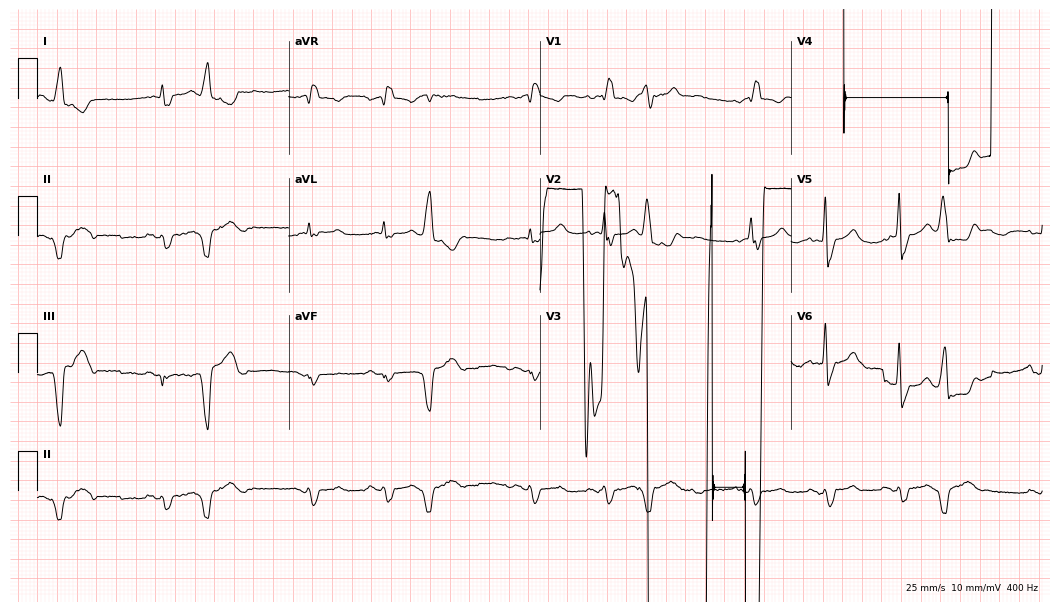
Electrocardiogram, a male patient, 72 years old. Of the six screened findings (first-degree AV block, right bundle branch block, left bundle branch block, sinus bradycardia, atrial fibrillation, sinus tachycardia), none is recorded. Only these six findings were labelled.